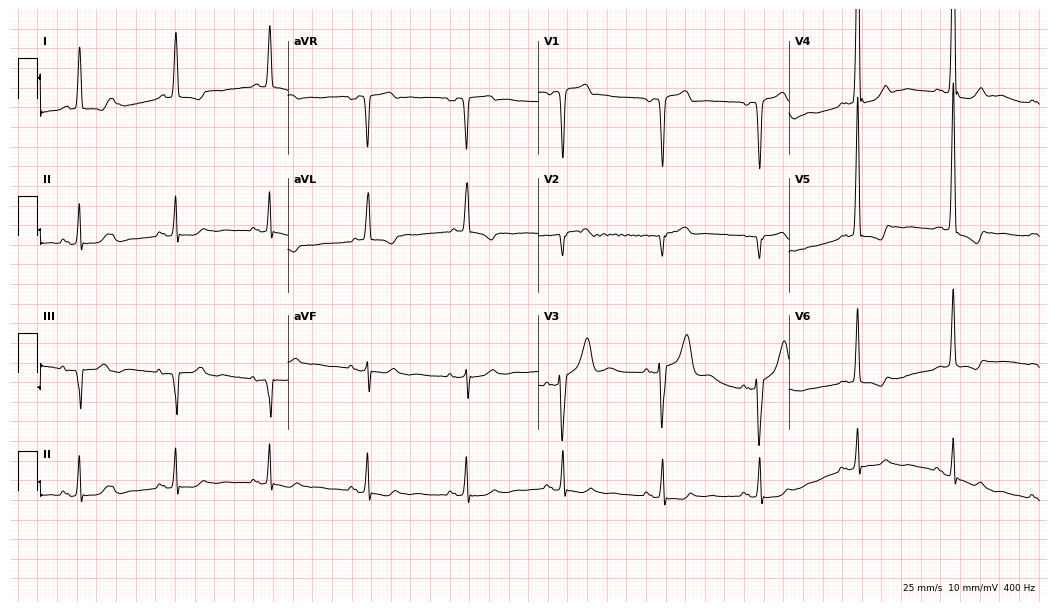
12-lead ECG from a 60-year-old male (10.2-second recording at 400 Hz). No first-degree AV block, right bundle branch block, left bundle branch block, sinus bradycardia, atrial fibrillation or sinus tachycardia recorded for this tracing.